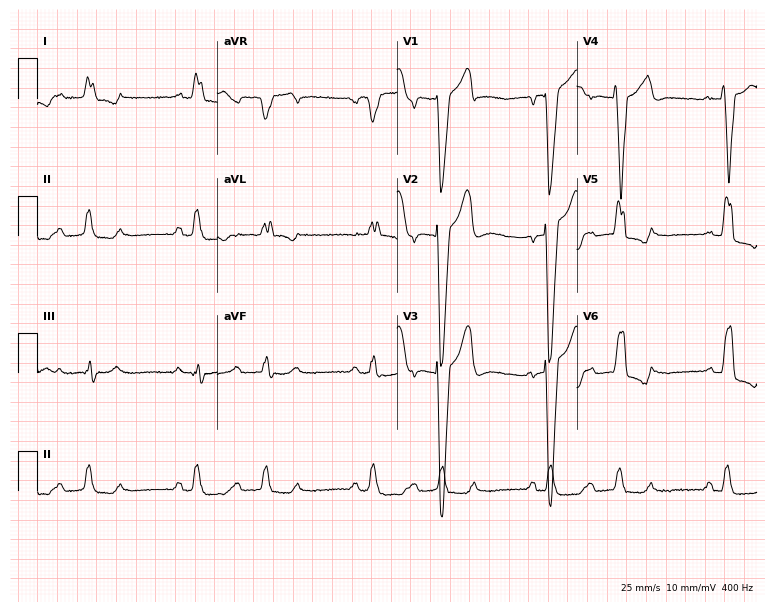
Resting 12-lead electrocardiogram. Patient: a 66-year-old man. The tracing shows left bundle branch block.